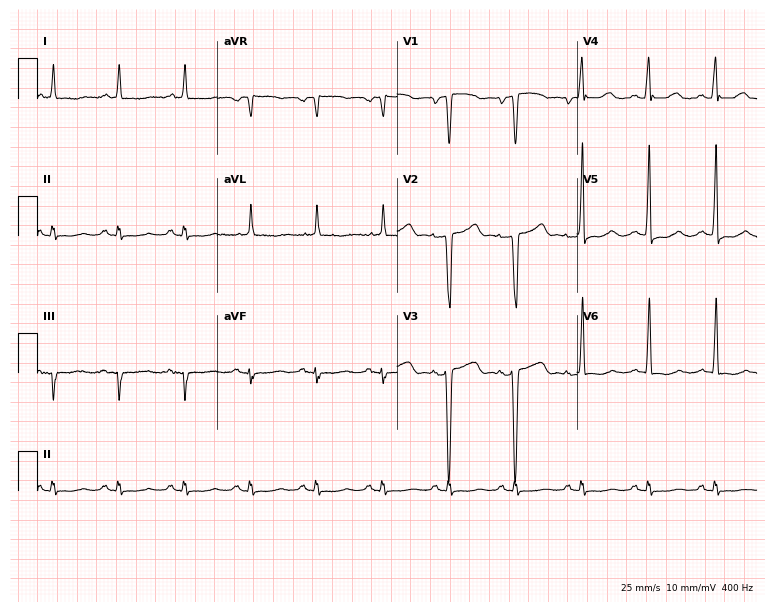
ECG (7.3-second recording at 400 Hz) — an 82-year-old woman. Screened for six findings — first-degree AV block, right bundle branch block, left bundle branch block, sinus bradycardia, atrial fibrillation, sinus tachycardia — none is recorded. Findings outside these six are not listed.